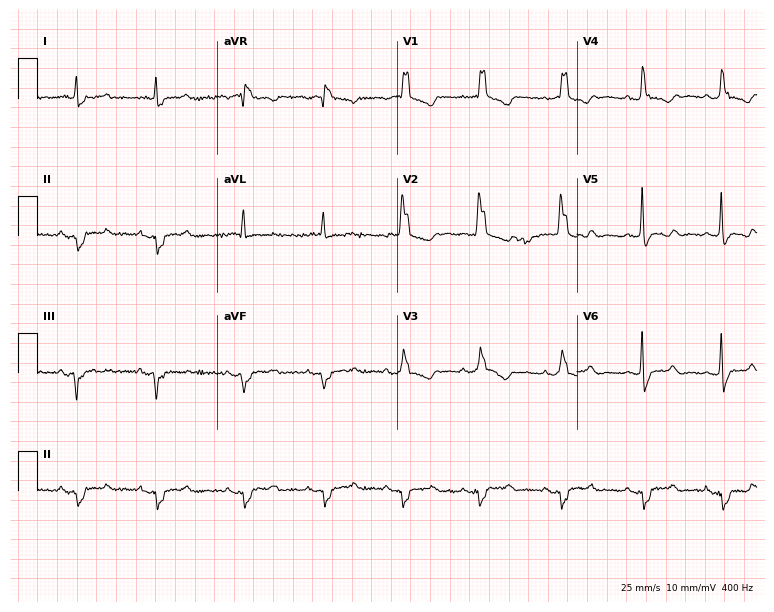
12-lead ECG from an 81-year-old woman (7.3-second recording at 400 Hz). Shows right bundle branch block.